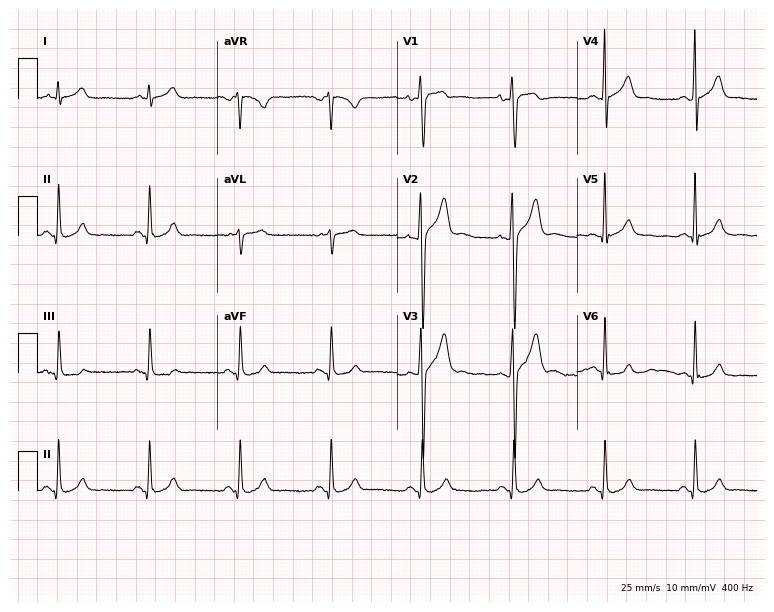
Standard 12-lead ECG recorded from a 31-year-old male patient. Read as a normal ECG.